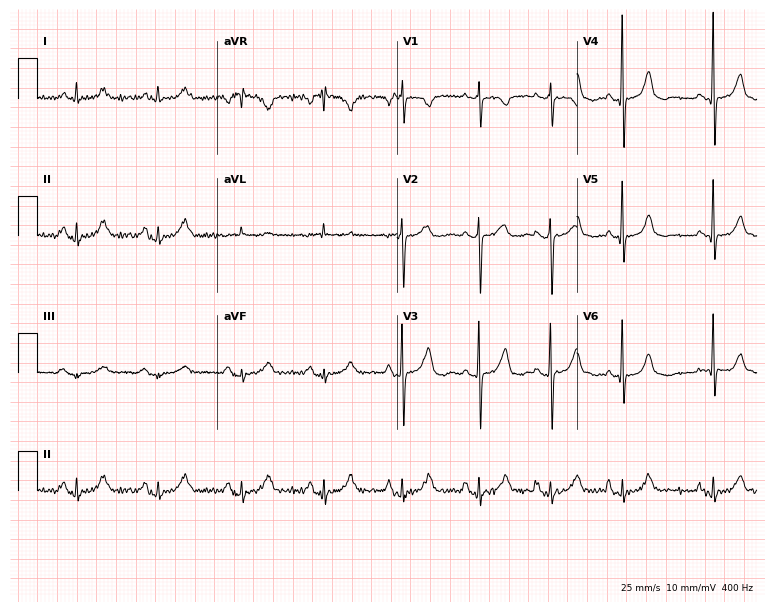
12-lead ECG from an 84-year-old woman (7.3-second recording at 400 Hz). No first-degree AV block, right bundle branch block (RBBB), left bundle branch block (LBBB), sinus bradycardia, atrial fibrillation (AF) or sinus tachycardia recorded for this tracing.